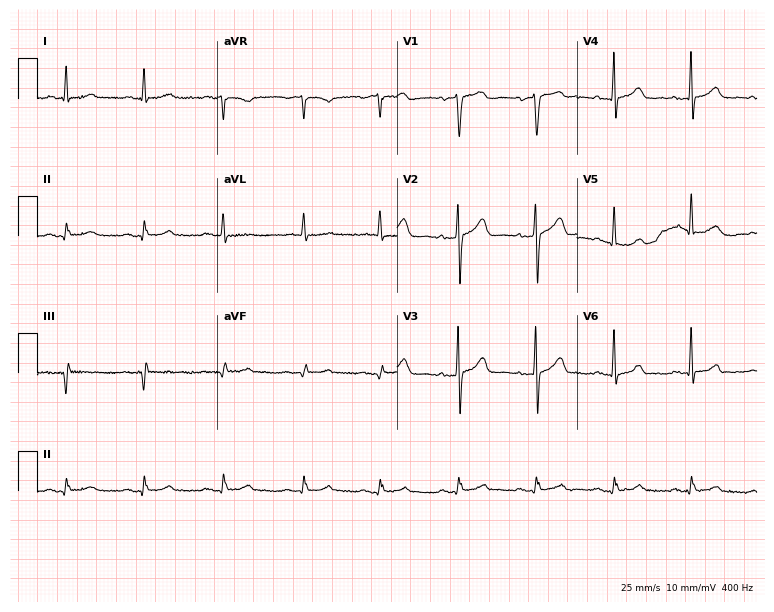
Electrocardiogram, a 58-year-old male. Overall reading on record: normal ECG.